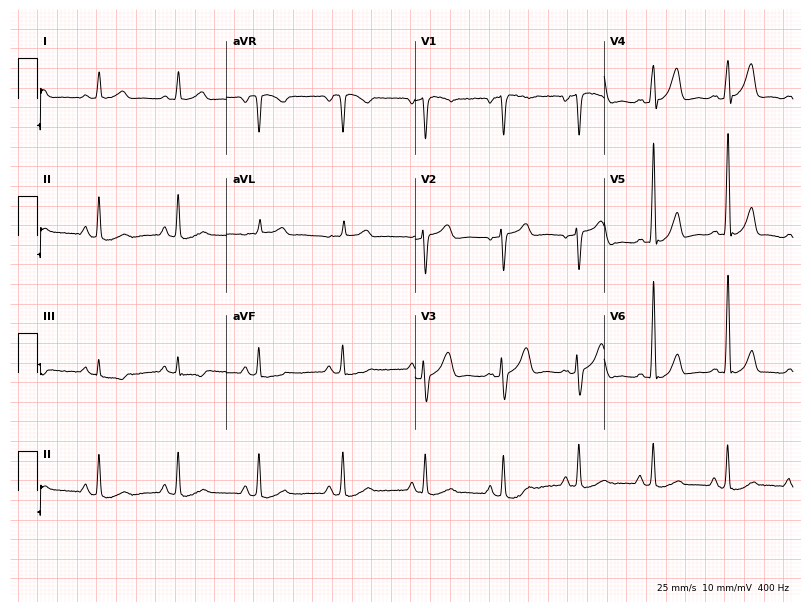
12-lead ECG from a man, 56 years old. No first-degree AV block, right bundle branch block, left bundle branch block, sinus bradycardia, atrial fibrillation or sinus tachycardia recorded for this tracing.